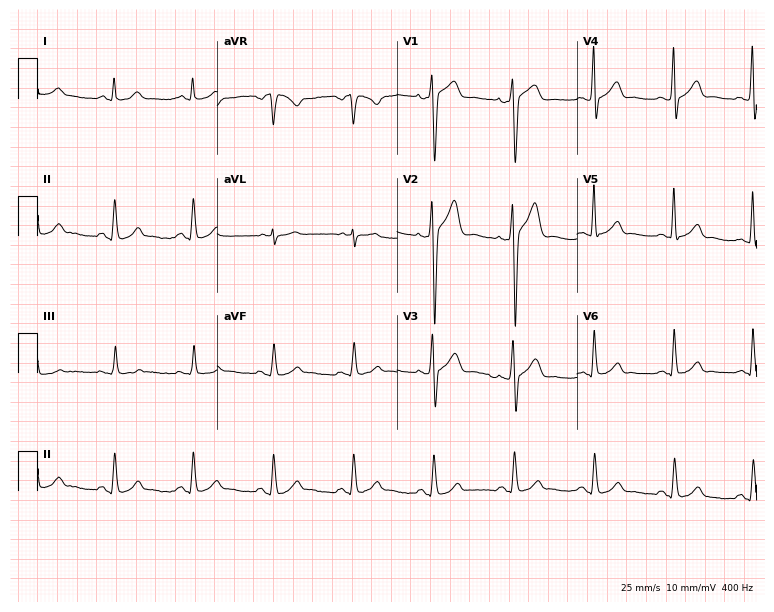
ECG (7.3-second recording at 400 Hz) — a 36-year-old male patient. Screened for six findings — first-degree AV block, right bundle branch block, left bundle branch block, sinus bradycardia, atrial fibrillation, sinus tachycardia — none is recorded.